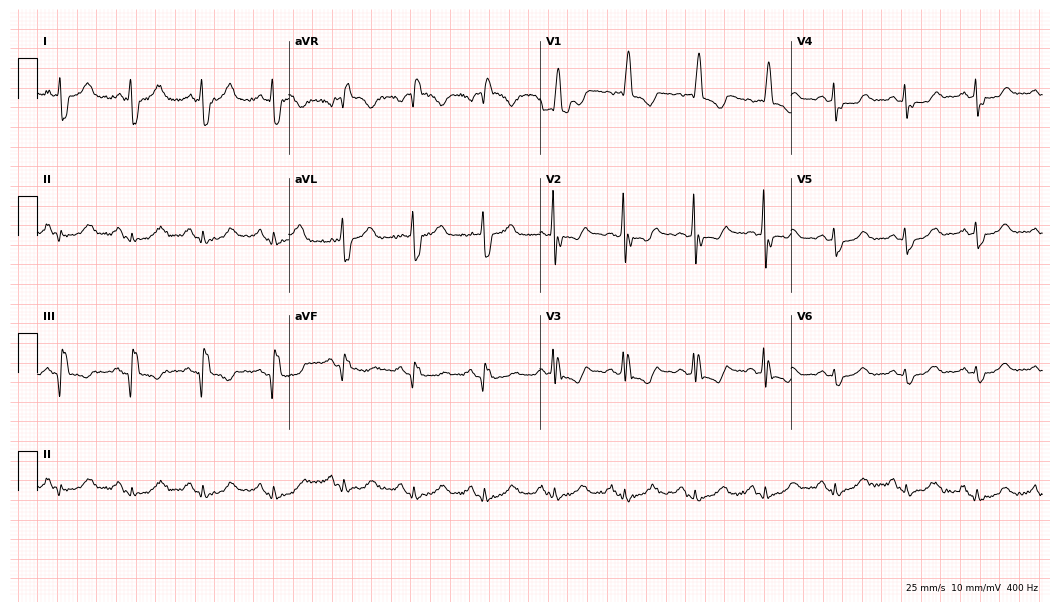
12-lead ECG from a 69-year-old female. Shows right bundle branch block.